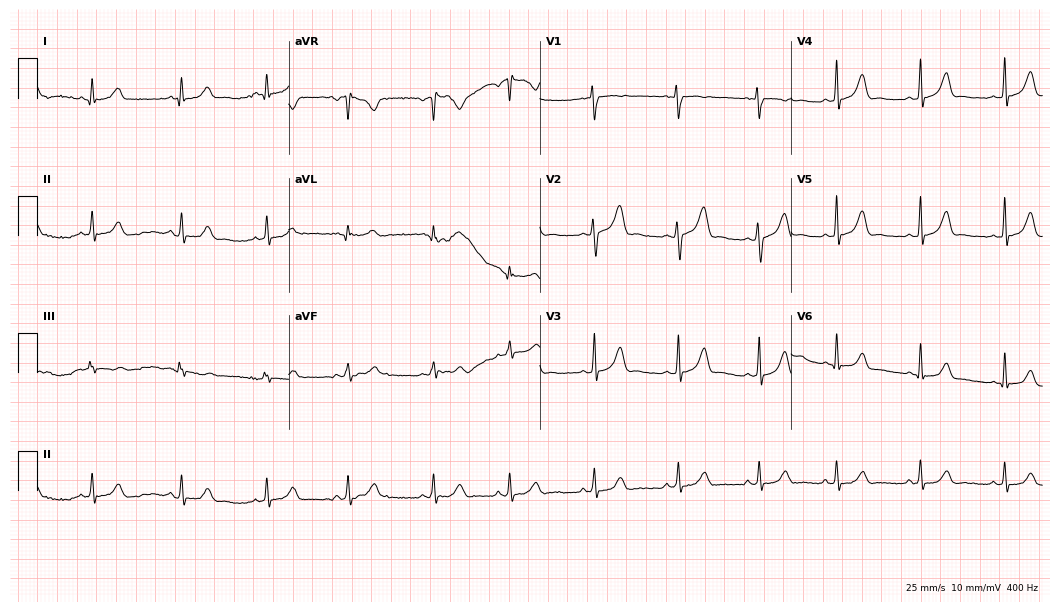
12-lead ECG from a 22-year-old woman. No first-degree AV block, right bundle branch block (RBBB), left bundle branch block (LBBB), sinus bradycardia, atrial fibrillation (AF) or sinus tachycardia recorded for this tracing.